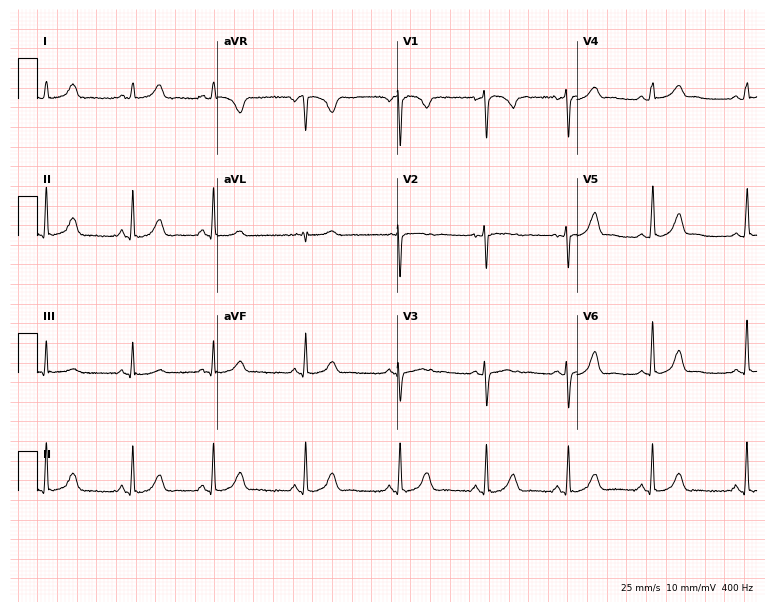
12-lead ECG (7.3-second recording at 400 Hz) from a 23-year-old female patient. Labelled as a normal ECG.